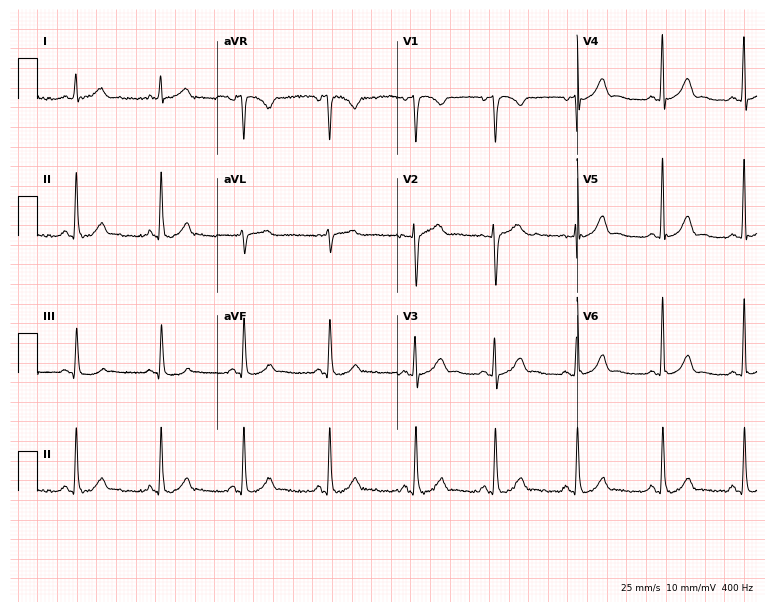
Standard 12-lead ECG recorded from a 43-year-old woman (7.3-second recording at 400 Hz). Read as a normal ECG.